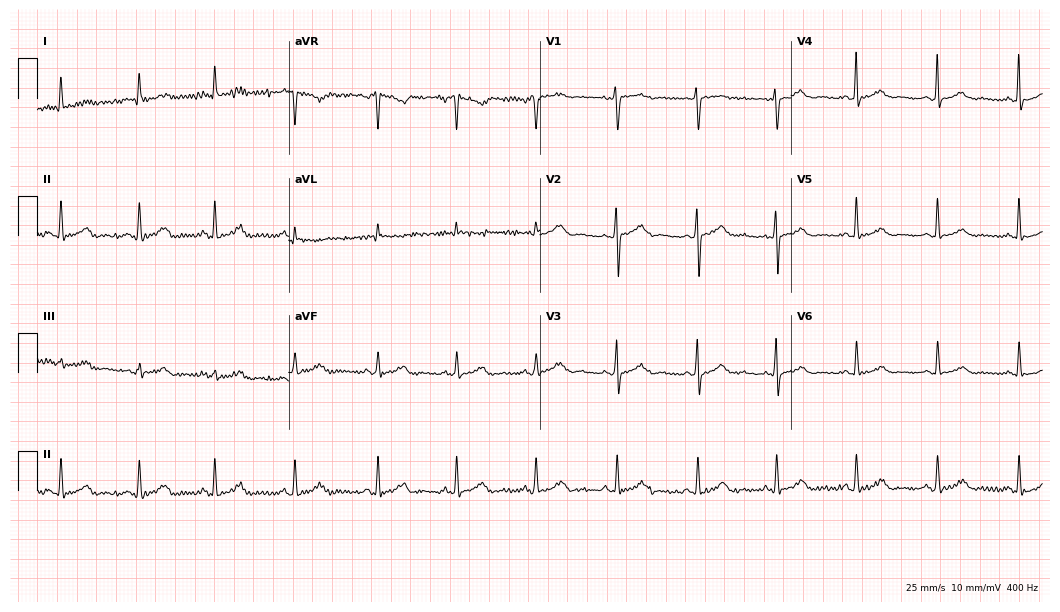
Electrocardiogram, a woman, 43 years old. Overall reading on record: normal ECG.